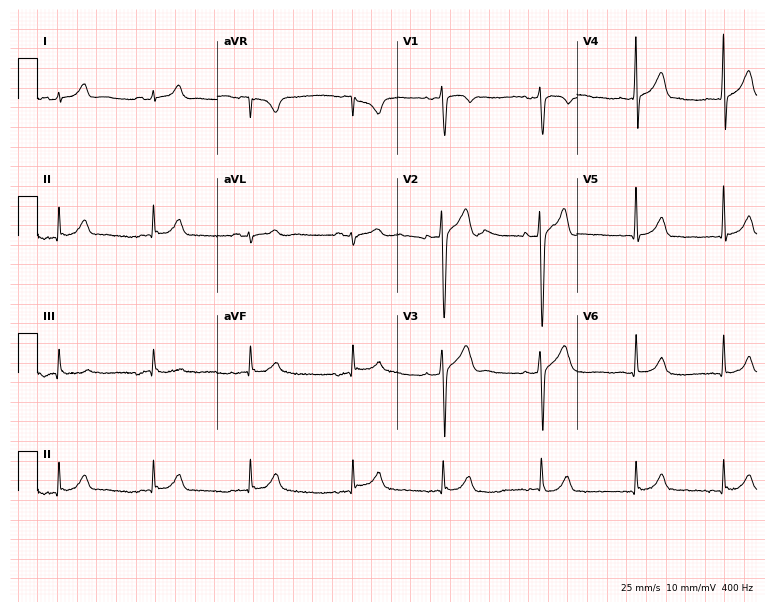
ECG (7.3-second recording at 400 Hz) — a 19-year-old male. Screened for six findings — first-degree AV block, right bundle branch block (RBBB), left bundle branch block (LBBB), sinus bradycardia, atrial fibrillation (AF), sinus tachycardia — none is recorded. Only these six findings were labelled.